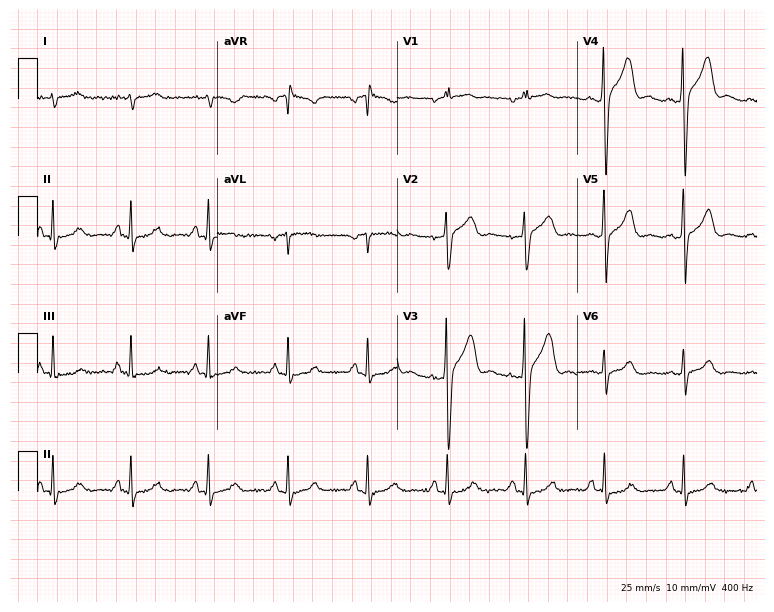
Resting 12-lead electrocardiogram. Patient: a male, 45 years old. None of these six findings is recorded: first-degree AV block, right bundle branch block (RBBB), left bundle branch block (LBBB), sinus bradycardia, atrial fibrillation (AF), sinus tachycardia.